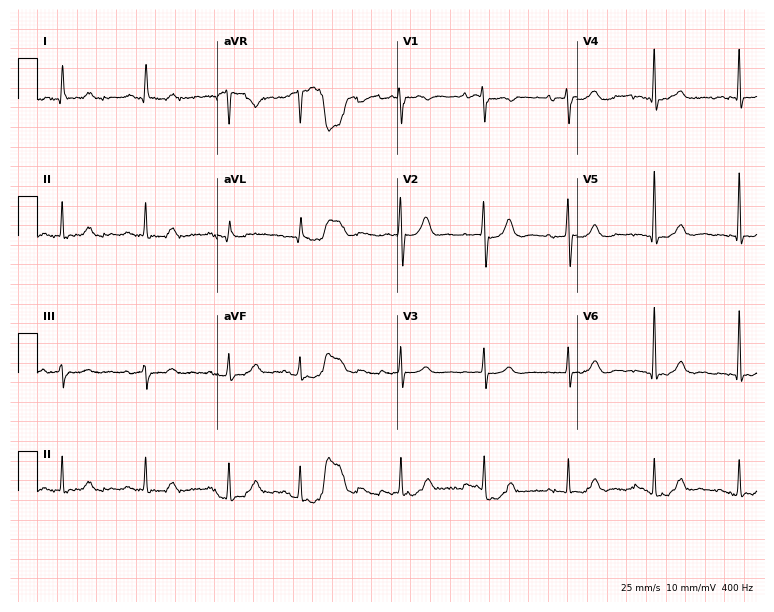
Standard 12-lead ECG recorded from a man, 86 years old (7.3-second recording at 400 Hz). None of these six findings is recorded: first-degree AV block, right bundle branch block (RBBB), left bundle branch block (LBBB), sinus bradycardia, atrial fibrillation (AF), sinus tachycardia. Other findings, if any, are not listed.